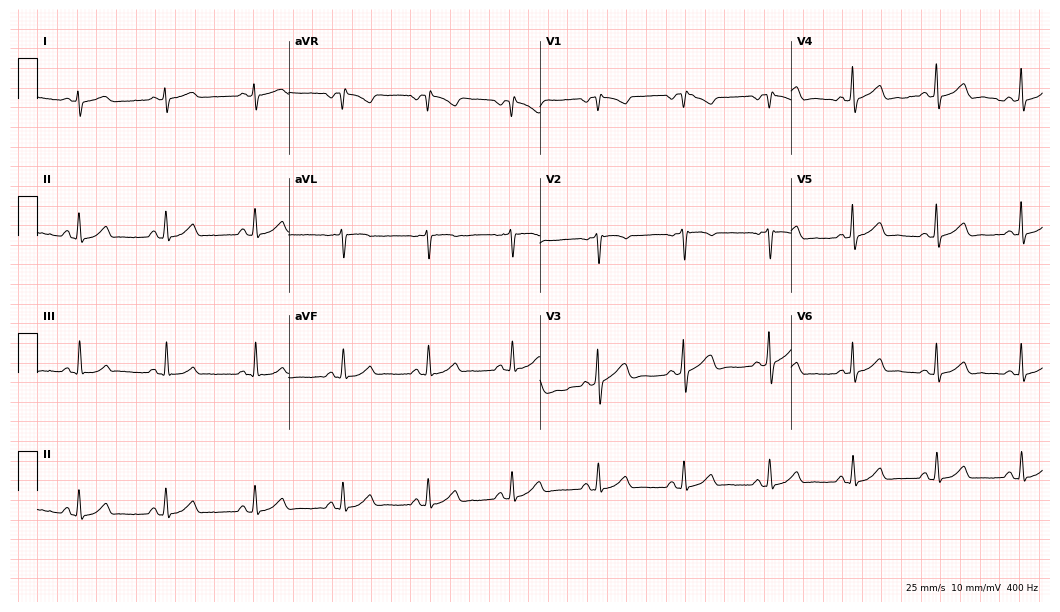
Standard 12-lead ECG recorded from a male patient, 47 years old (10.2-second recording at 400 Hz). Read as a normal ECG.